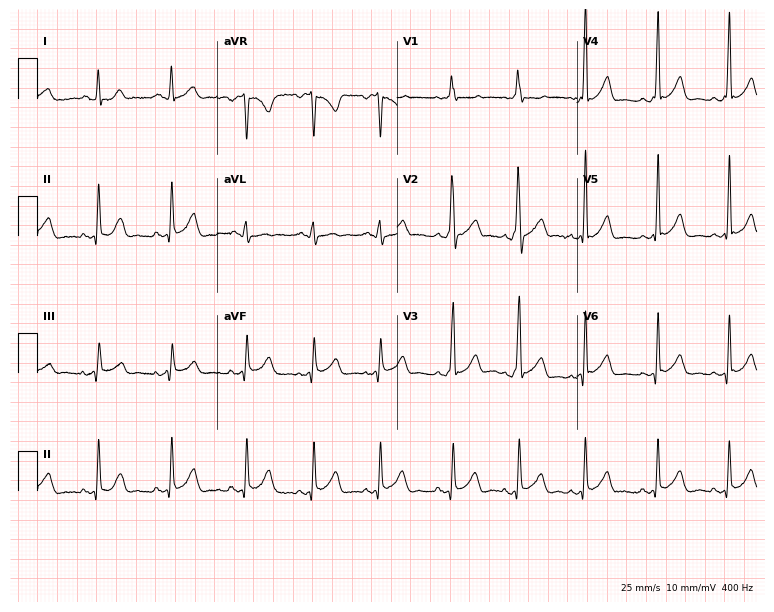
ECG — a female patient, 26 years old. Screened for six findings — first-degree AV block, right bundle branch block (RBBB), left bundle branch block (LBBB), sinus bradycardia, atrial fibrillation (AF), sinus tachycardia — none is recorded. Other findings, if any, are not listed.